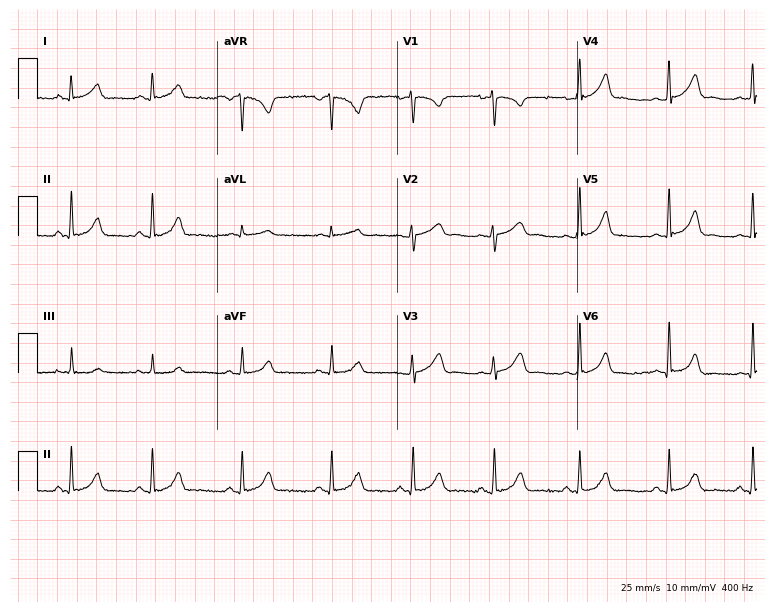
Electrocardiogram (7.3-second recording at 400 Hz), an 18-year-old woman. Of the six screened findings (first-degree AV block, right bundle branch block (RBBB), left bundle branch block (LBBB), sinus bradycardia, atrial fibrillation (AF), sinus tachycardia), none is recorded.